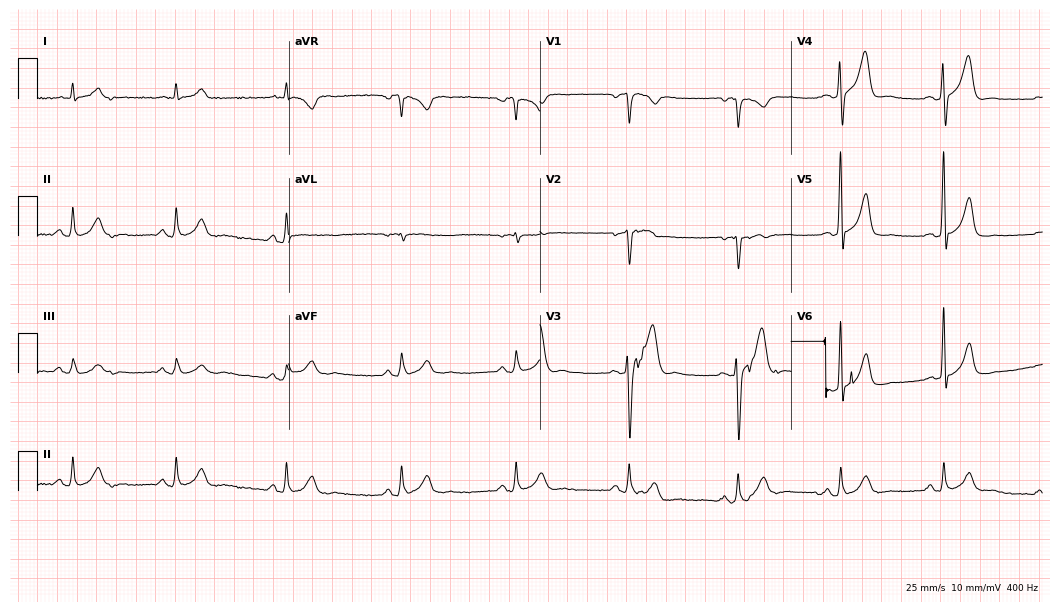
12-lead ECG (10.2-second recording at 400 Hz) from a man, 61 years old. Screened for six findings — first-degree AV block, right bundle branch block, left bundle branch block, sinus bradycardia, atrial fibrillation, sinus tachycardia — none is recorded. Findings outside these six are not listed.